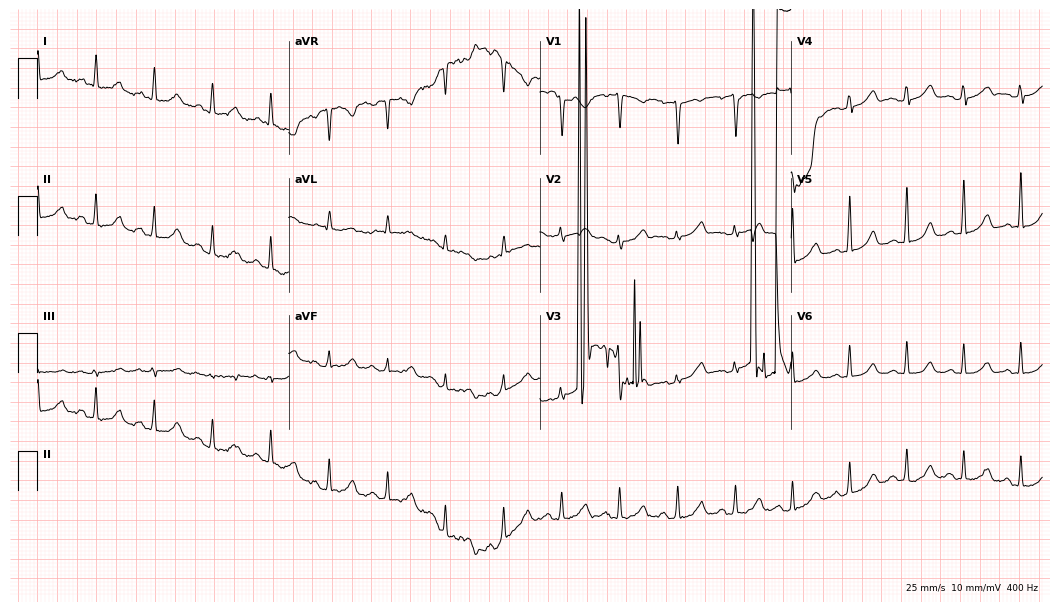
ECG — a woman, 49 years old. Screened for six findings — first-degree AV block, right bundle branch block, left bundle branch block, sinus bradycardia, atrial fibrillation, sinus tachycardia — none is recorded.